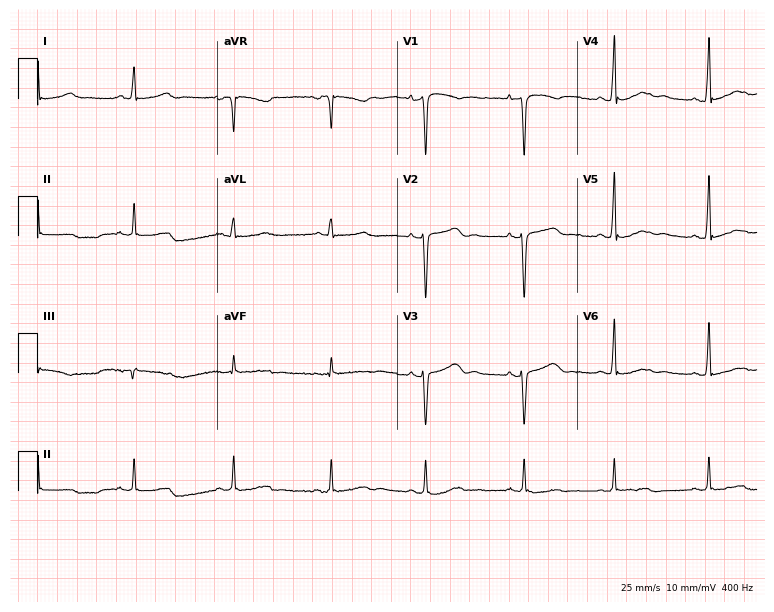
12-lead ECG (7.3-second recording at 400 Hz) from a woman, 32 years old. Screened for six findings — first-degree AV block, right bundle branch block, left bundle branch block, sinus bradycardia, atrial fibrillation, sinus tachycardia — none is recorded.